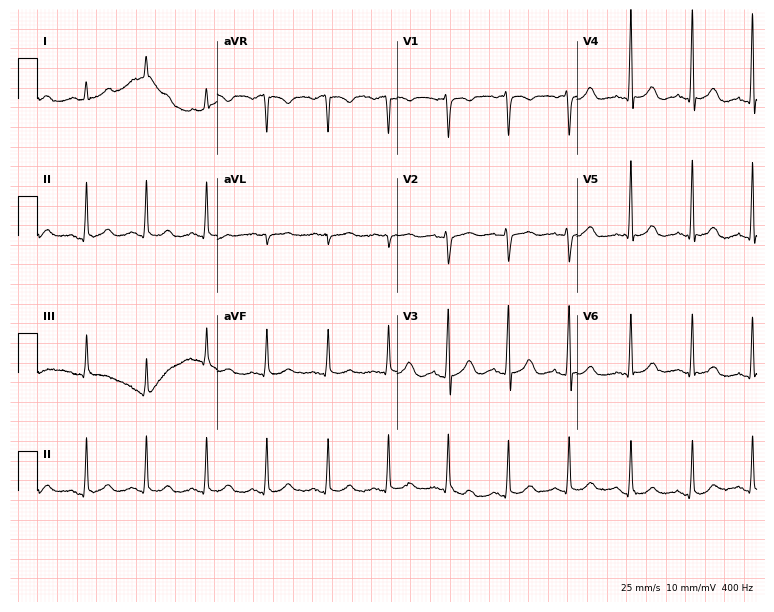
ECG (7.3-second recording at 400 Hz) — a 34-year-old woman. Labelled as a normal ECG.